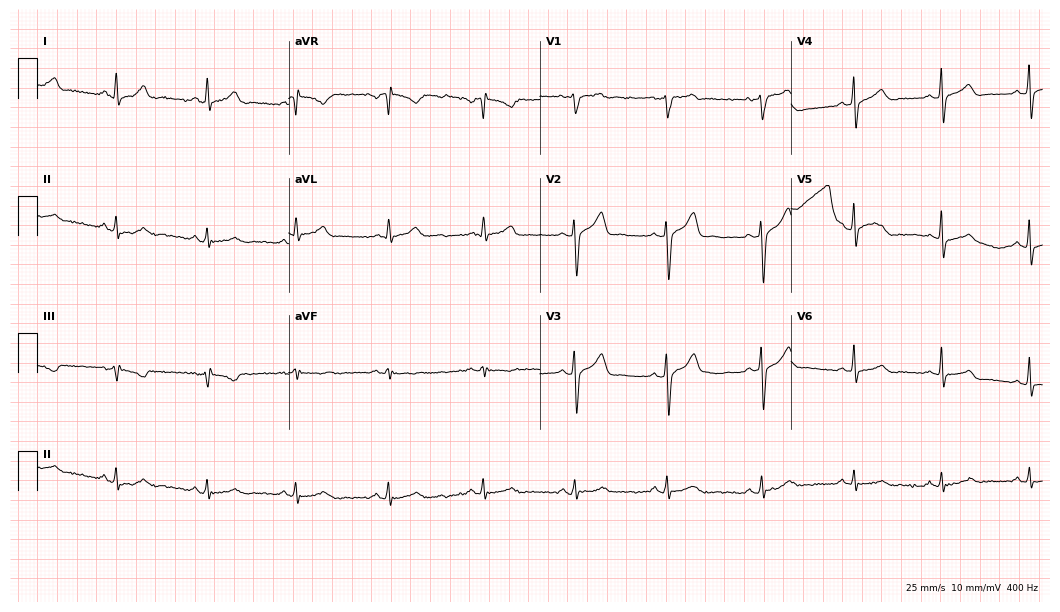
12-lead ECG from a male, 44 years old. Screened for six findings — first-degree AV block, right bundle branch block, left bundle branch block, sinus bradycardia, atrial fibrillation, sinus tachycardia — none is recorded. Only these six findings were labelled.